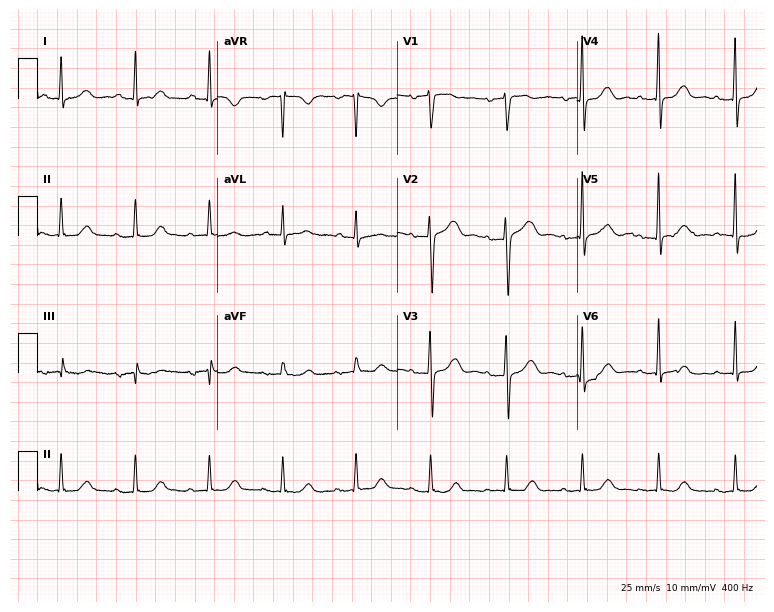
Electrocardiogram, a 65-year-old female. Of the six screened findings (first-degree AV block, right bundle branch block (RBBB), left bundle branch block (LBBB), sinus bradycardia, atrial fibrillation (AF), sinus tachycardia), none is recorded.